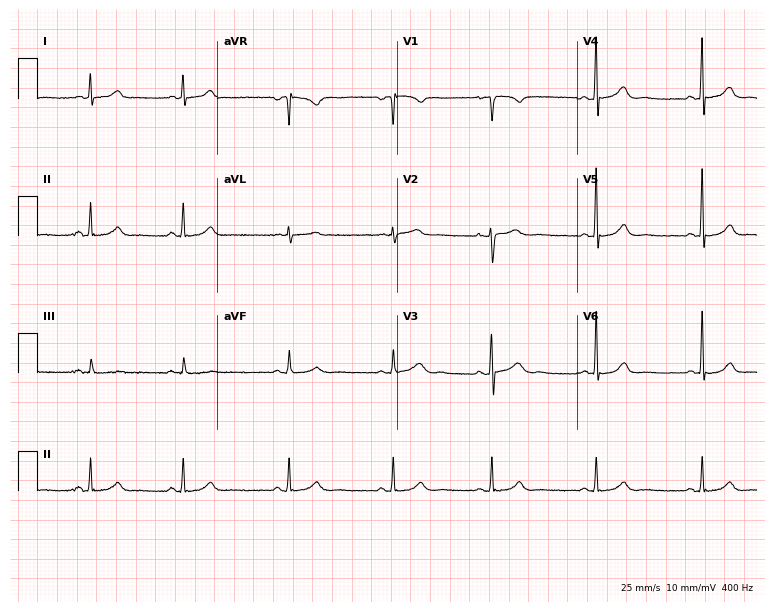
Resting 12-lead electrocardiogram (7.3-second recording at 400 Hz). Patient: a 37-year-old woman. None of these six findings is recorded: first-degree AV block, right bundle branch block, left bundle branch block, sinus bradycardia, atrial fibrillation, sinus tachycardia. Other findings, if any, are not listed.